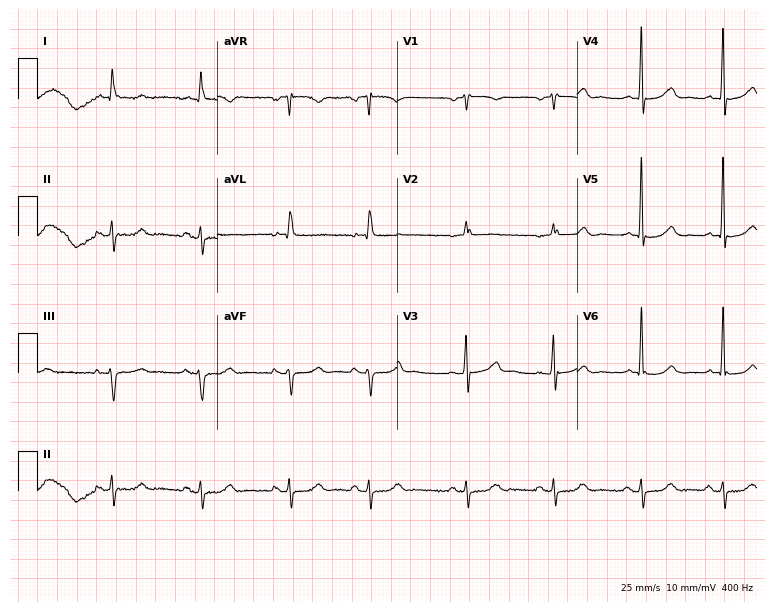
Standard 12-lead ECG recorded from a male, 78 years old. None of these six findings is recorded: first-degree AV block, right bundle branch block, left bundle branch block, sinus bradycardia, atrial fibrillation, sinus tachycardia. Other findings, if any, are not listed.